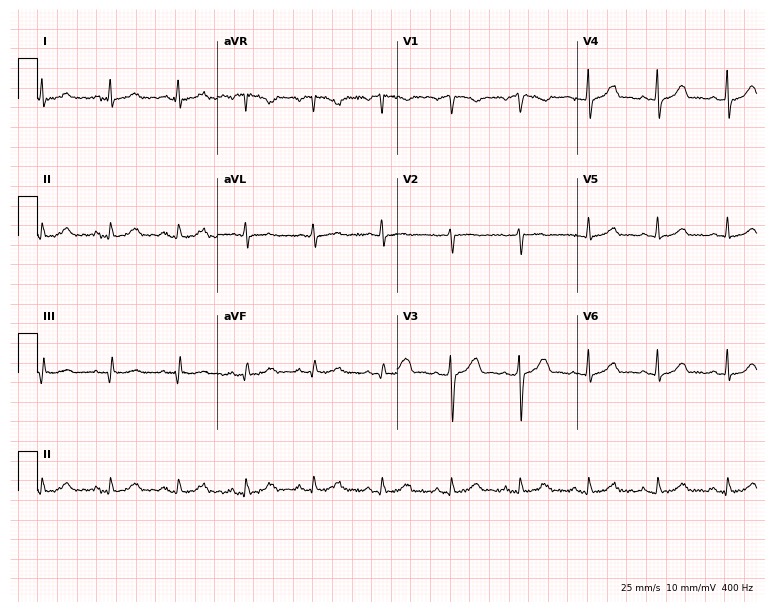
Standard 12-lead ECG recorded from a woman, 46 years old (7.3-second recording at 400 Hz). Read as a normal ECG.